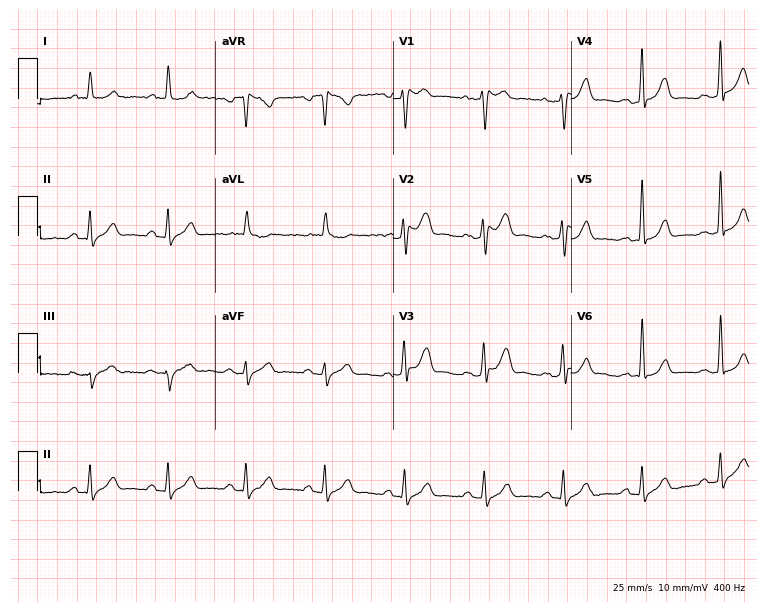
12-lead ECG from a 52-year-old male patient. Screened for six findings — first-degree AV block, right bundle branch block, left bundle branch block, sinus bradycardia, atrial fibrillation, sinus tachycardia — none is recorded.